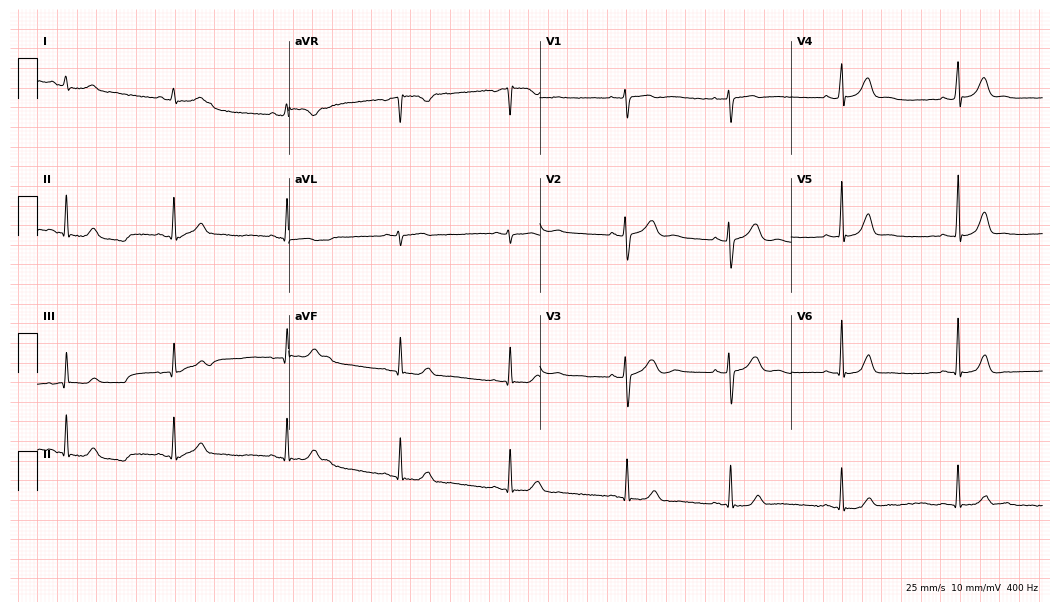
12-lead ECG from a female patient, 17 years old. Labelled as a normal ECG.